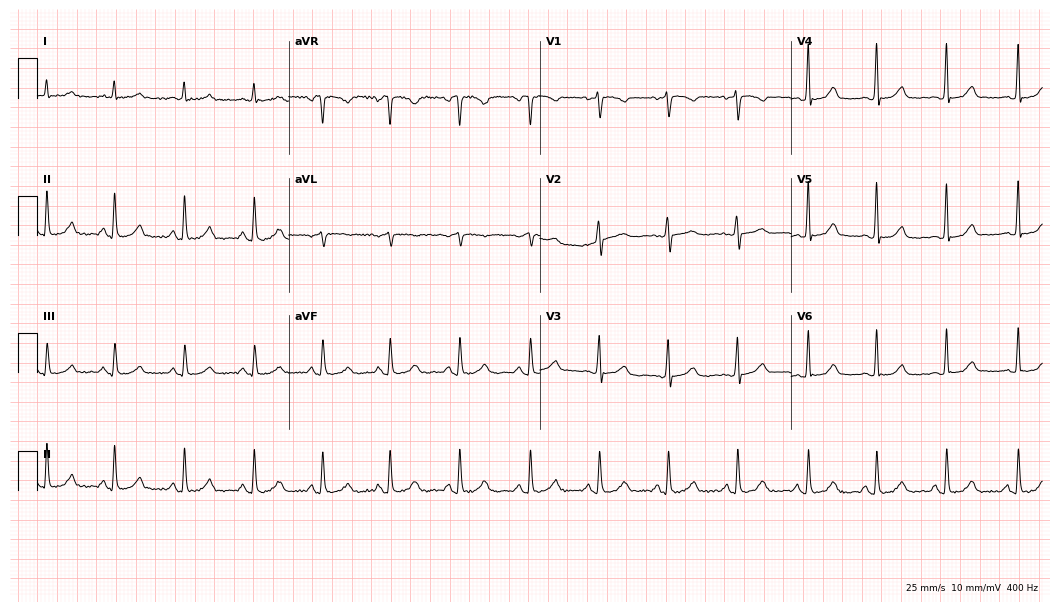
Resting 12-lead electrocardiogram. Patient: a 63-year-old woman. Read as a normal ECG.